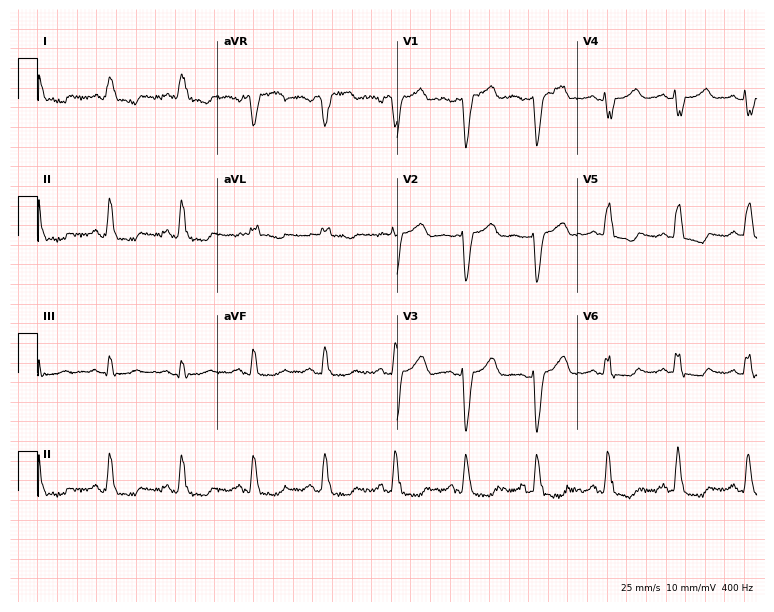
ECG — a woman, 78 years old. Findings include left bundle branch block.